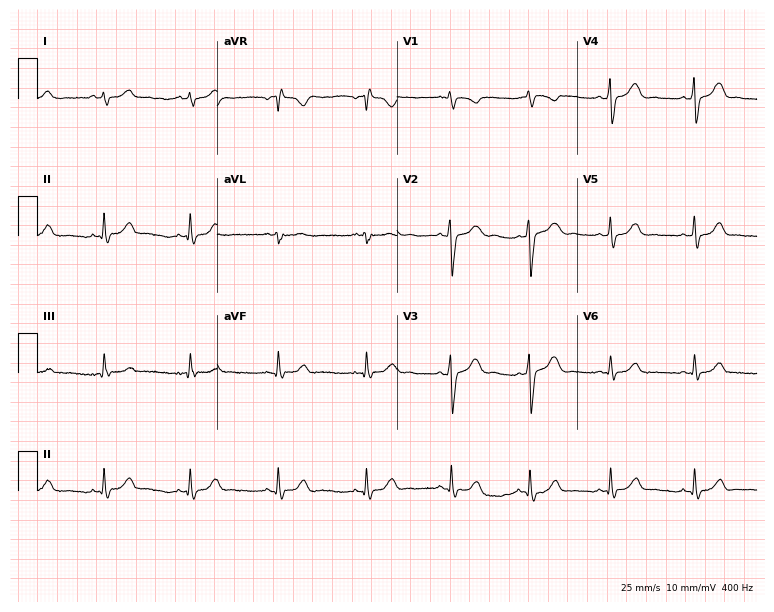
12-lead ECG from a woman, 19 years old. Recorded interpretation: within normal limits.